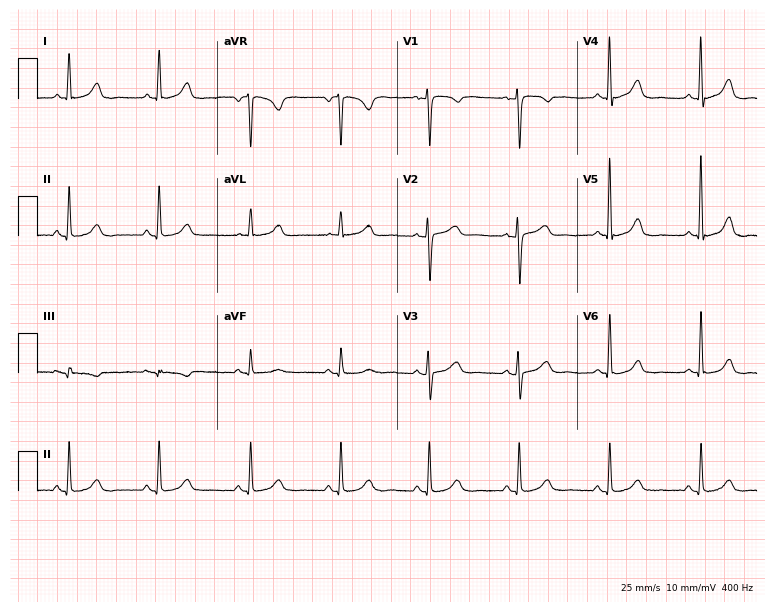
ECG — a female, 72 years old. Labelled as a normal ECG.